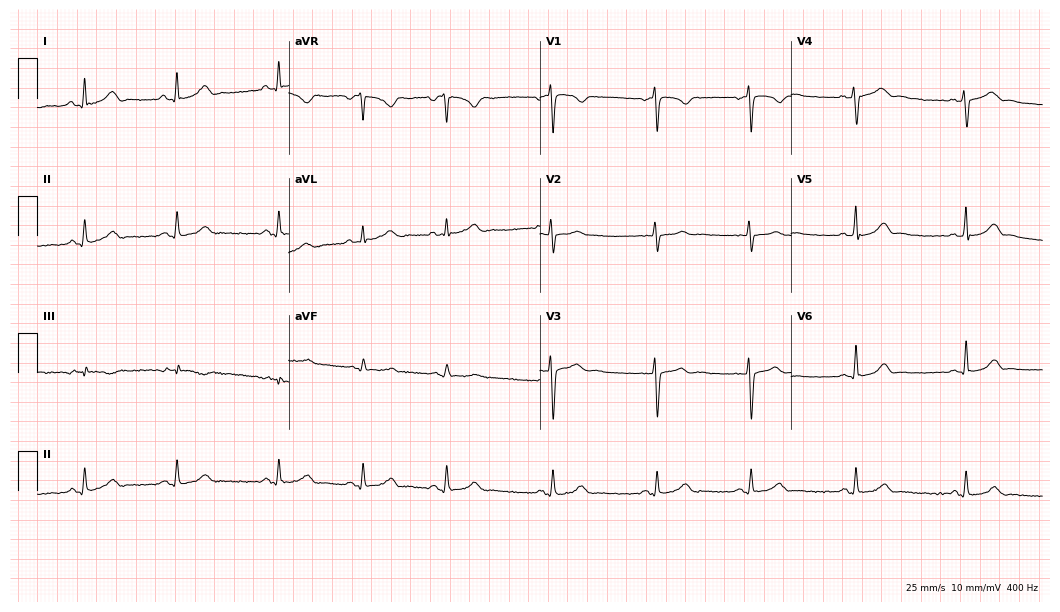
Standard 12-lead ECG recorded from a woman, 19 years old (10.2-second recording at 400 Hz). Read as a normal ECG.